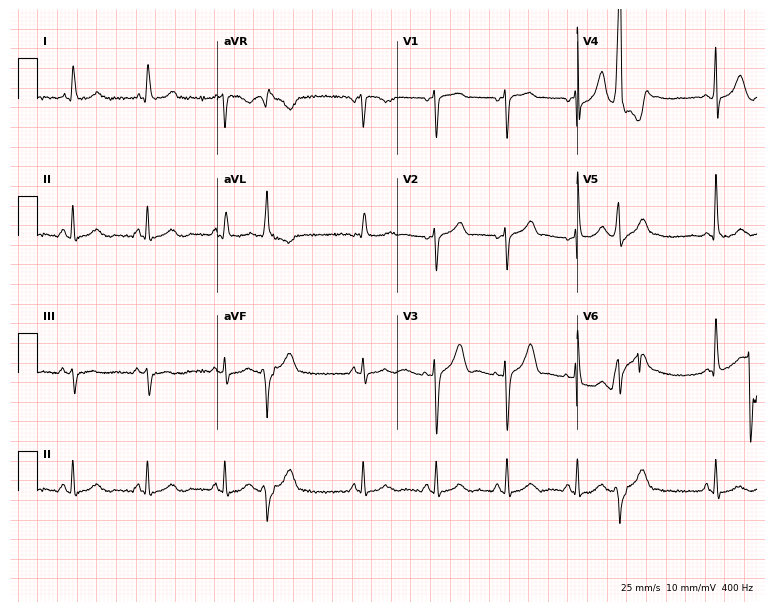
Standard 12-lead ECG recorded from a female, 80 years old (7.3-second recording at 400 Hz). None of these six findings is recorded: first-degree AV block, right bundle branch block, left bundle branch block, sinus bradycardia, atrial fibrillation, sinus tachycardia. Only these six findings were labelled.